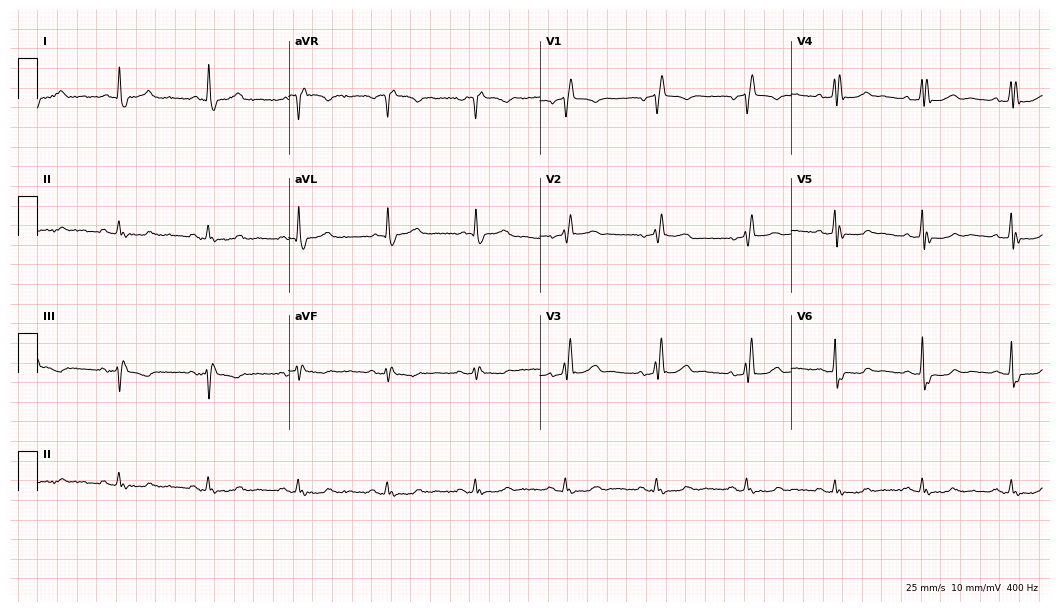
12-lead ECG from a 66-year-old male patient. Shows right bundle branch block (RBBB).